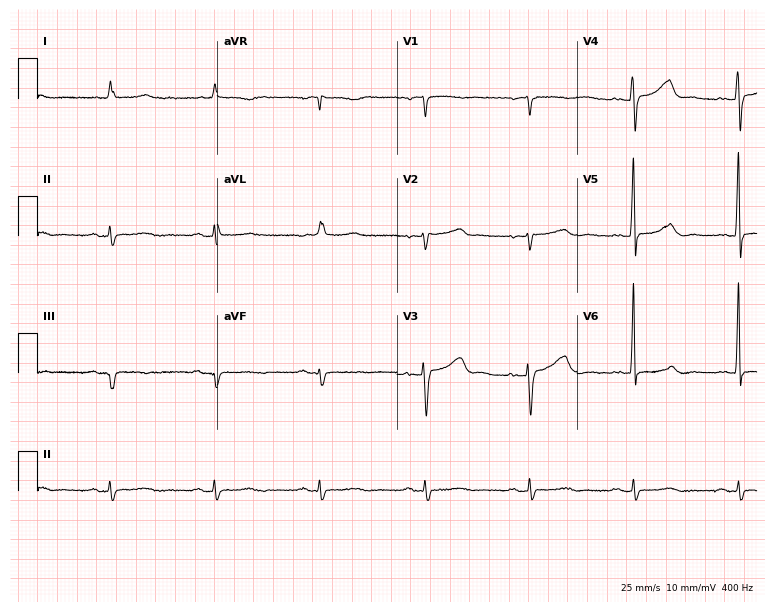
Electrocardiogram (7.3-second recording at 400 Hz), a woman, 67 years old. Of the six screened findings (first-degree AV block, right bundle branch block (RBBB), left bundle branch block (LBBB), sinus bradycardia, atrial fibrillation (AF), sinus tachycardia), none is recorded. Findings outside these six are not listed.